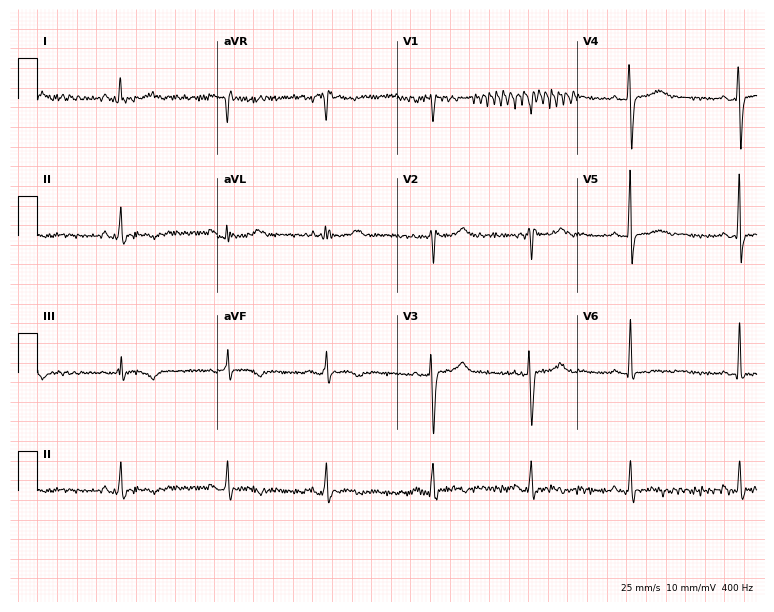
12-lead ECG from a woman, 34 years old. No first-degree AV block, right bundle branch block (RBBB), left bundle branch block (LBBB), sinus bradycardia, atrial fibrillation (AF) or sinus tachycardia recorded for this tracing.